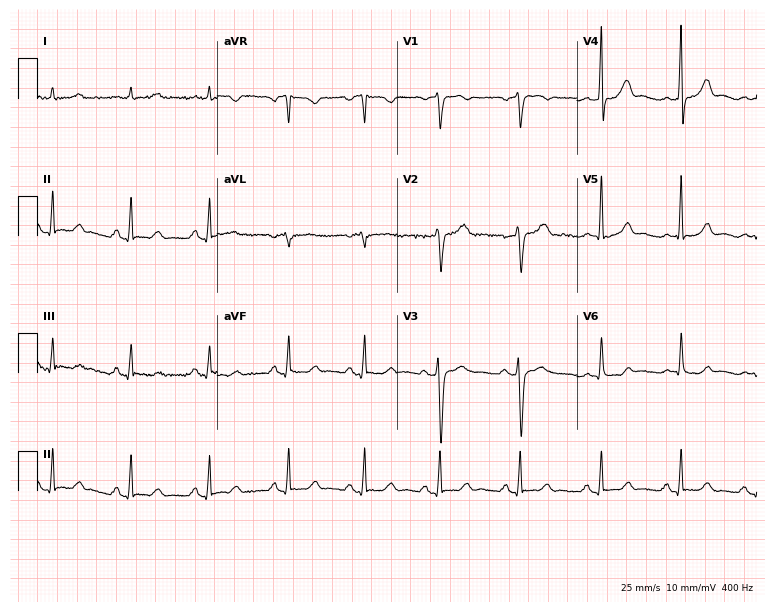
12-lead ECG from a 44-year-old man. Labelled as a normal ECG.